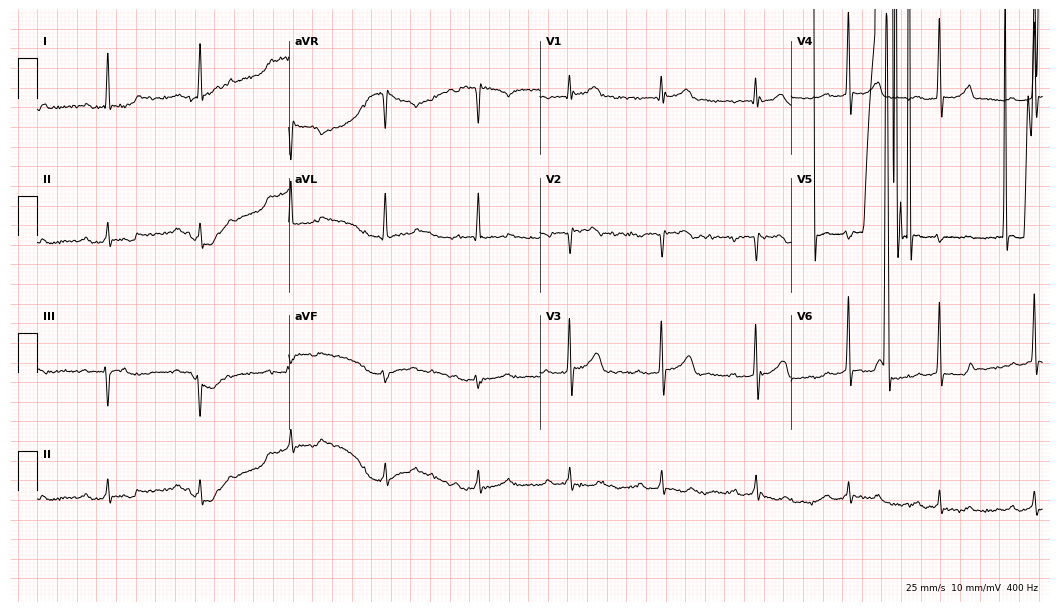
ECG (10.2-second recording at 400 Hz) — a male, 66 years old. Screened for six findings — first-degree AV block, right bundle branch block (RBBB), left bundle branch block (LBBB), sinus bradycardia, atrial fibrillation (AF), sinus tachycardia — none is recorded.